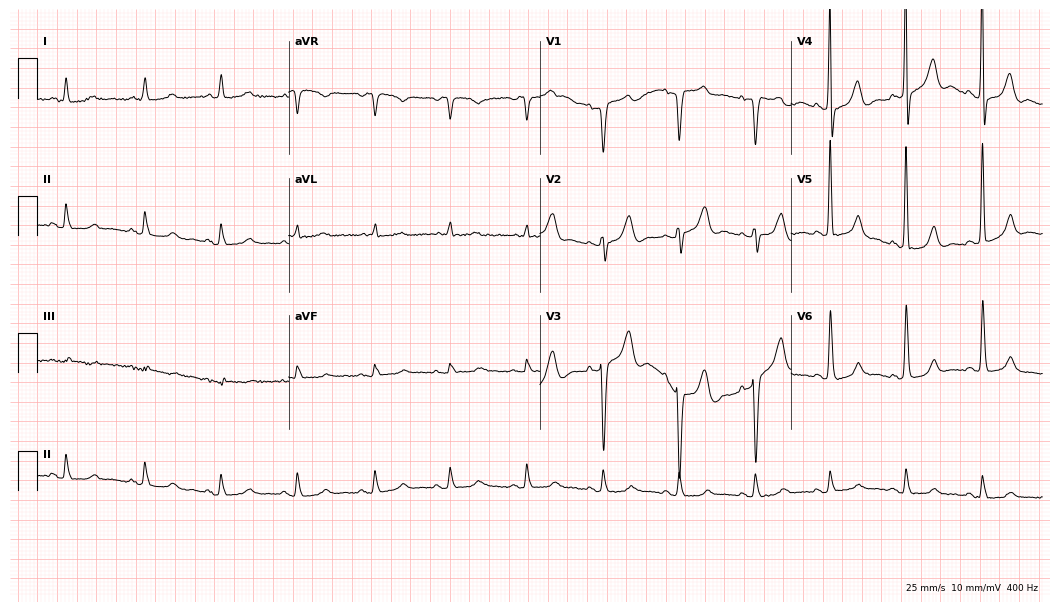
Resting 12-lead electrocardiogram. Patient: an 87-year-old female. Read as a normal ECG.